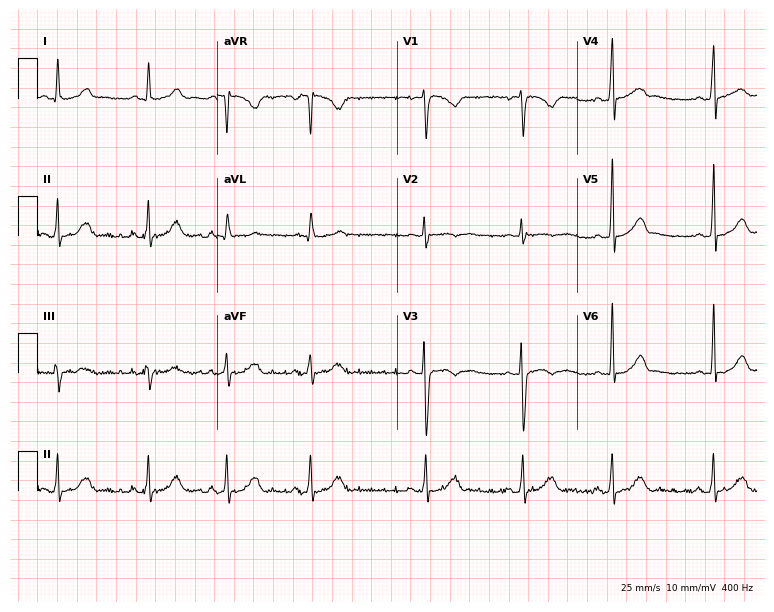
Electrocardiogram, a woman, 18 years old. Of the six screened findings (first-degree AV block, right bundle branch block (RBBB), left bundle branch block (LBBB), sinus bradycardia, atrial fibrillation (AF), sinus tachycardia), none is recorded.